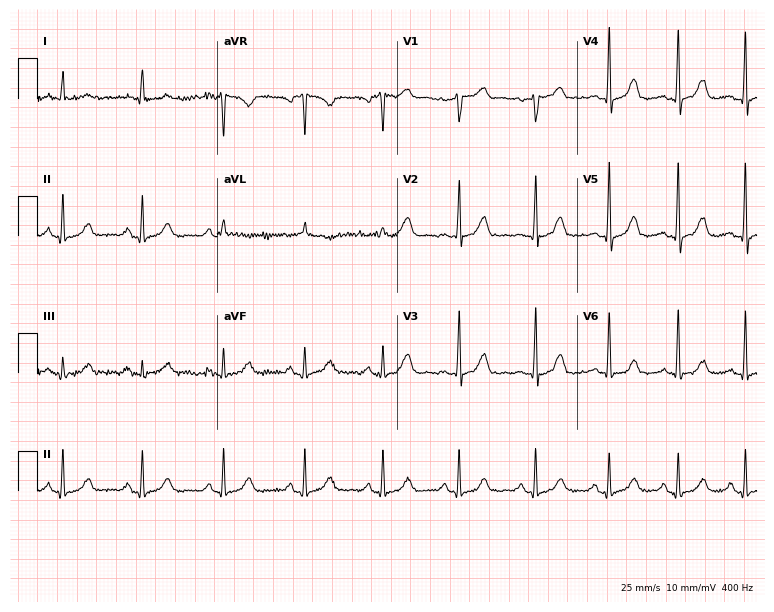
12-lead ECG (7.3-second recording at 400 Hz) from a 60-year-old male. Labelled as a normal ECG.